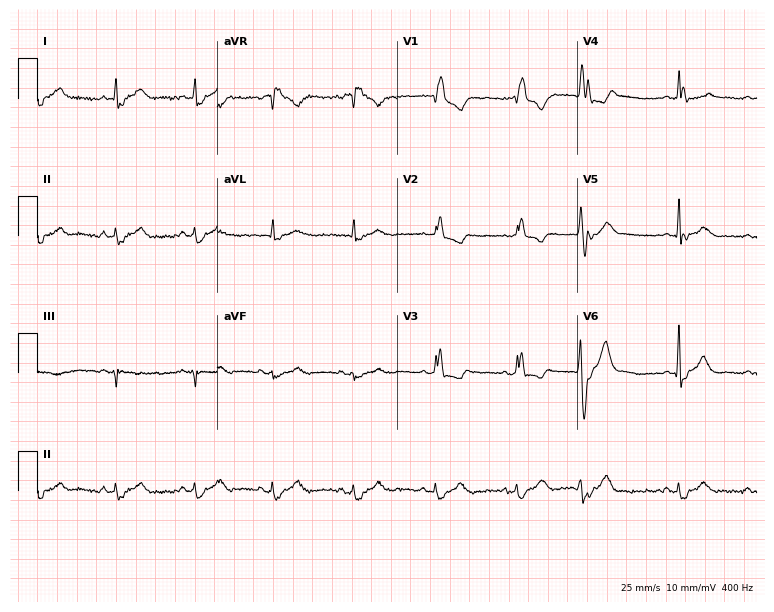
12-lead ECG from a man, 82 years old. No first-degree AV block, right bundle branch block (RBBB), left bundle branch block (LBBB), sinus bradycardia, atrial fibrillation (AF) or sinus tachycardia recorded for this tracing. Findings outside these six are not listed.